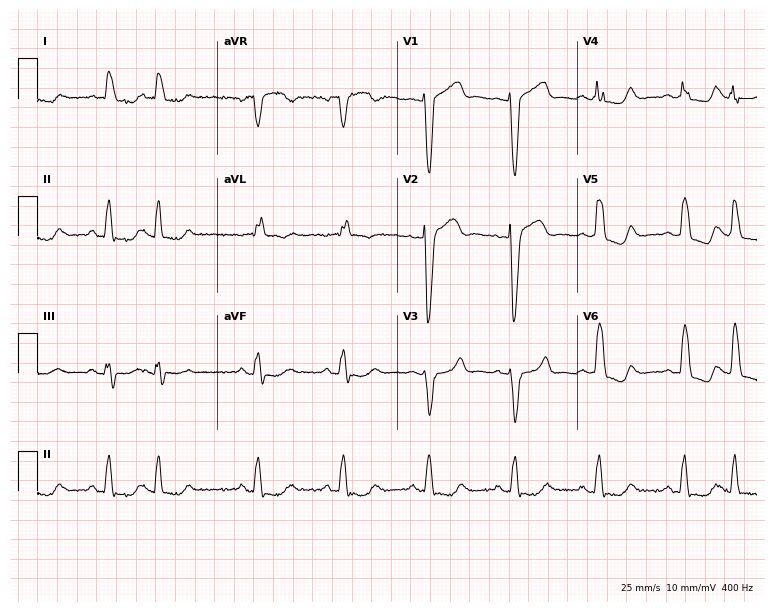
12-lead ECG (7.3-second recording at 400 Hz) from a 66-year-old female. Findings include left bundle branch block (LBBB).